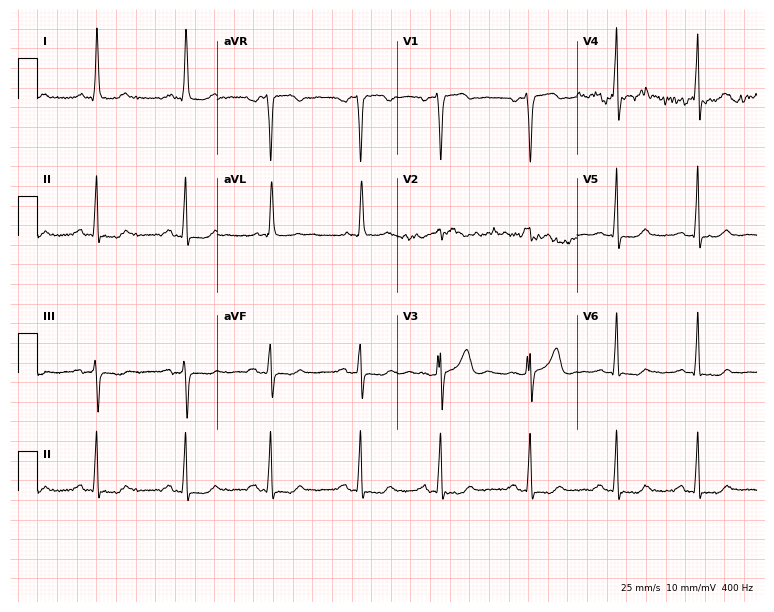
ECG (7.3-second recording at 400 Hz) — a woman, 76 years old. Screened for six findings — first-degree AV block, right bundle branch block, left bundle branch block, sinus bradycardia, atrial fibrillation, sinus tachycardia — none is recorded.